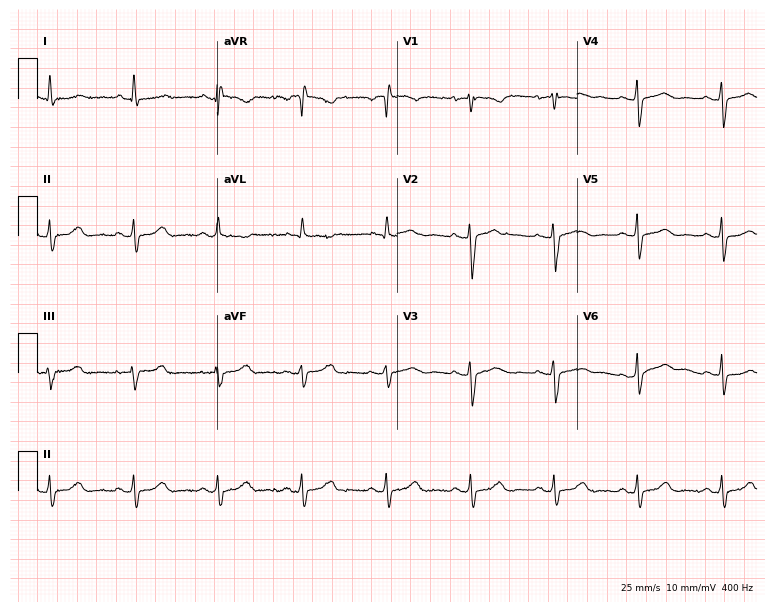
Standard 12-lead ECG recorded from a female, 42 years old (7.3-second recording at 400 Hz). Read as a normal ECG.